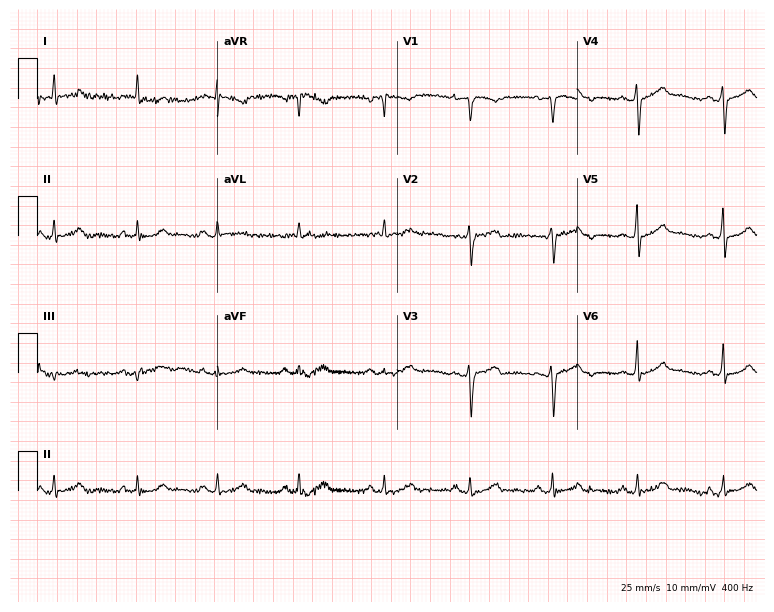
12-lead ECG (7.3-second recording at 400 Hz) from an 18-year-old female. Labelled as a normal ECG.